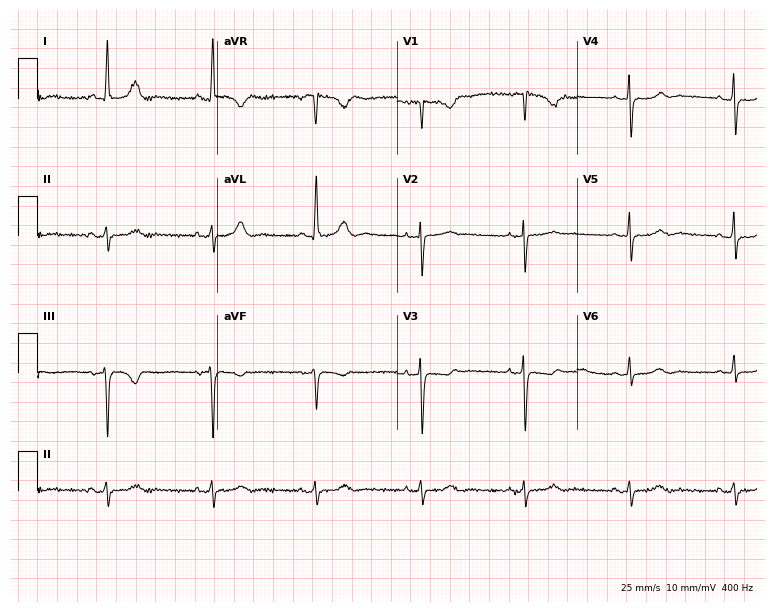
Standard 12-lead ECG recorded from a 71-year-old woman. None of these six findings is recorded: first-degree AV block, right bundle branch block (RBBB), left bundle branch block (LBBB), sinus bradycardia, atrial fibrillation (AF), sinus tachycardia.